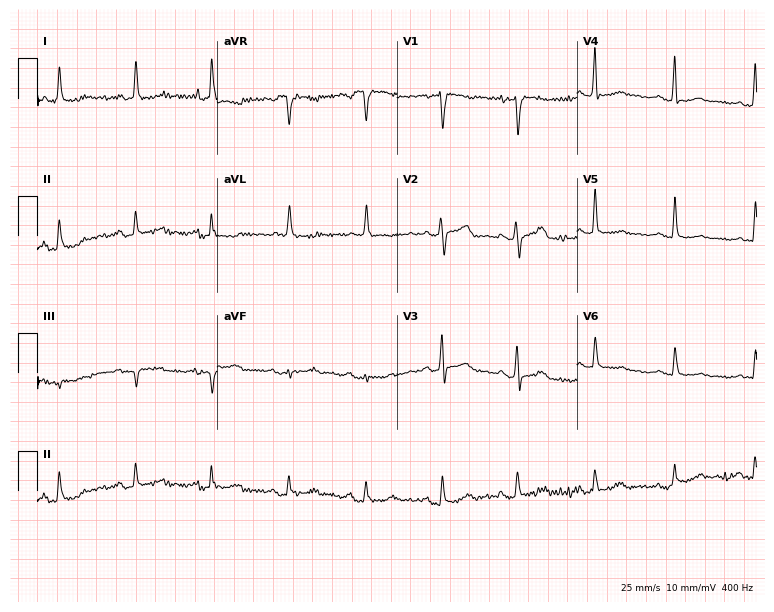
Standard 12-lead ECG recorded from a female, 72 years old (7.3-second recording at 400 Hz). None of these six findings is recorded: first-degree AV block, right bundle branch block (RBBB), left bundle branch block (LBBB), sinus bradycardia, atrial fibrillation (AF), sinus tachycardia. Findings outside these six are not listed.